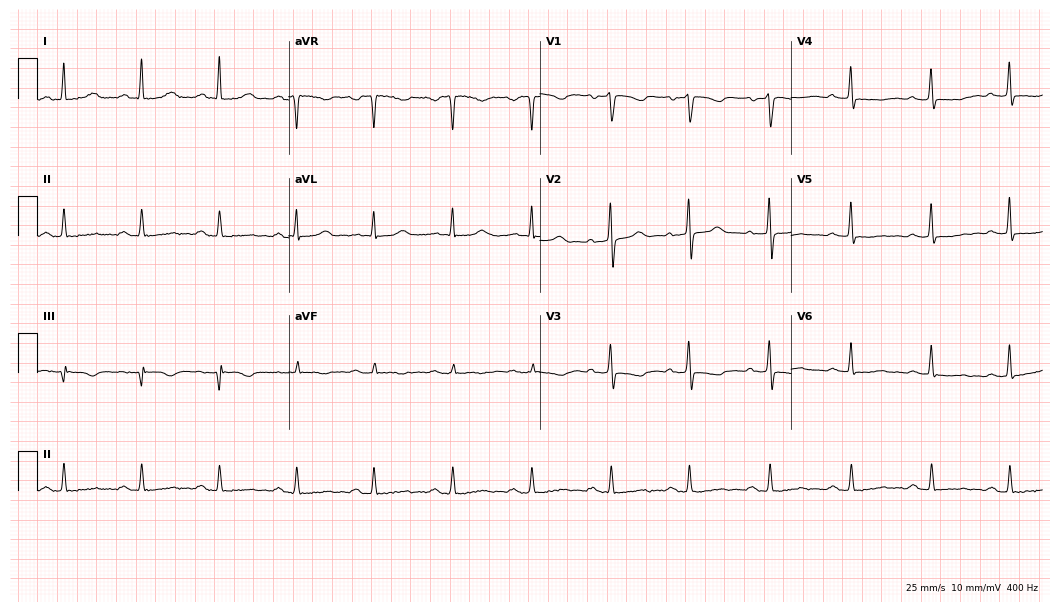
12-lead ECG from a female patient, 49 years old (10.2-second recording at 400 Hz). No first-degree AV block, right bundle branch block, left bundle branch block, sinus bradycardia, atrial fibrillation or sinus tachycardia recorded for this tracing.